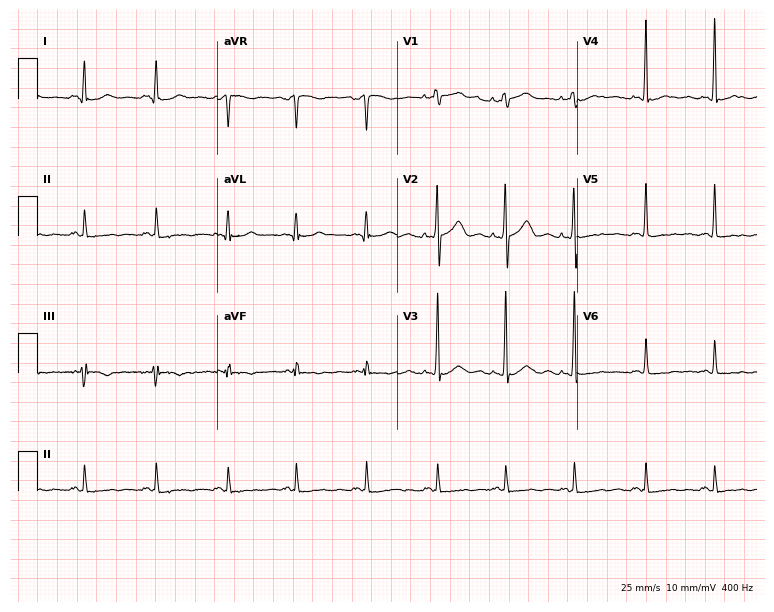
Electrocardiogram (7.3-second recording at 400 Hz), a female, 49 years old. Of the six screened findings (first-degree AV block, right bundle branch block, left bundle branch block, sinus bradycardia, atrial fibrillation, sinus tachycardia), none is recorded.